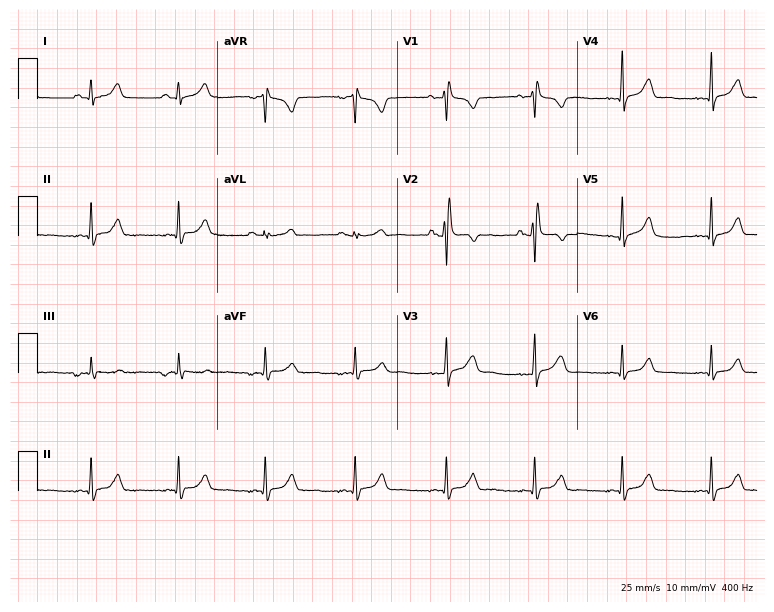
Electrocardiogram, a woman, 44 years old. Of the six screened findings (first-degree AV block, right bundle branch block, left bundle branch block, sinus bradycardia, atrial fibrillation, sinus tachycardia), none is recorded. Only these six findings were labelled.